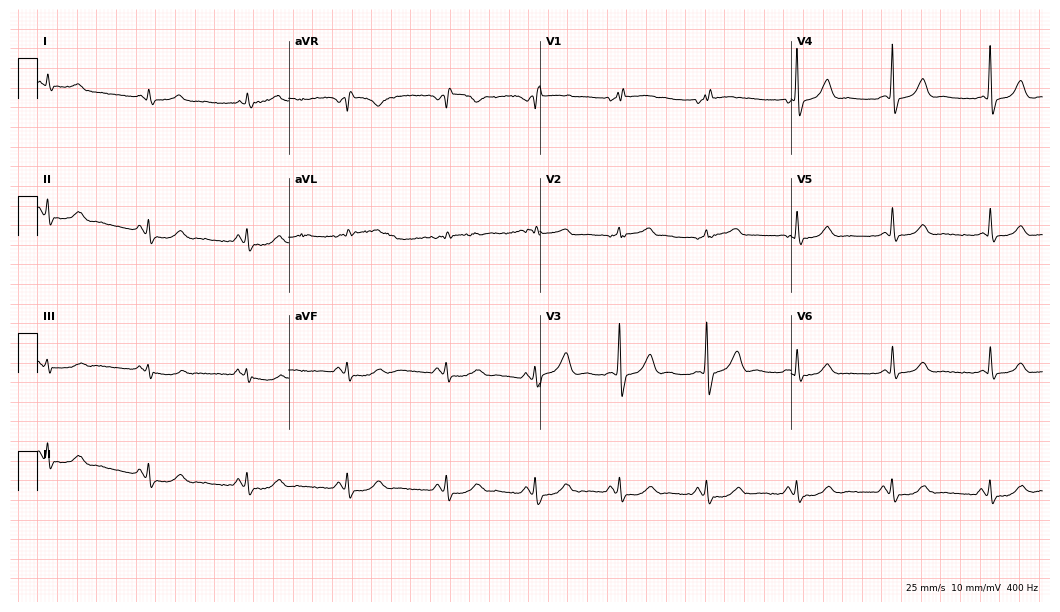
12-lead ECG from a man, 75 years old (10.2-second recording at 400 Hz). No first-degree AV block, right bundle branch block, left bundle branch block, sinus bradycardia, atrial fibrillation or sinus tachycardia recorded for this tracing. Findings outside these six are not listed.